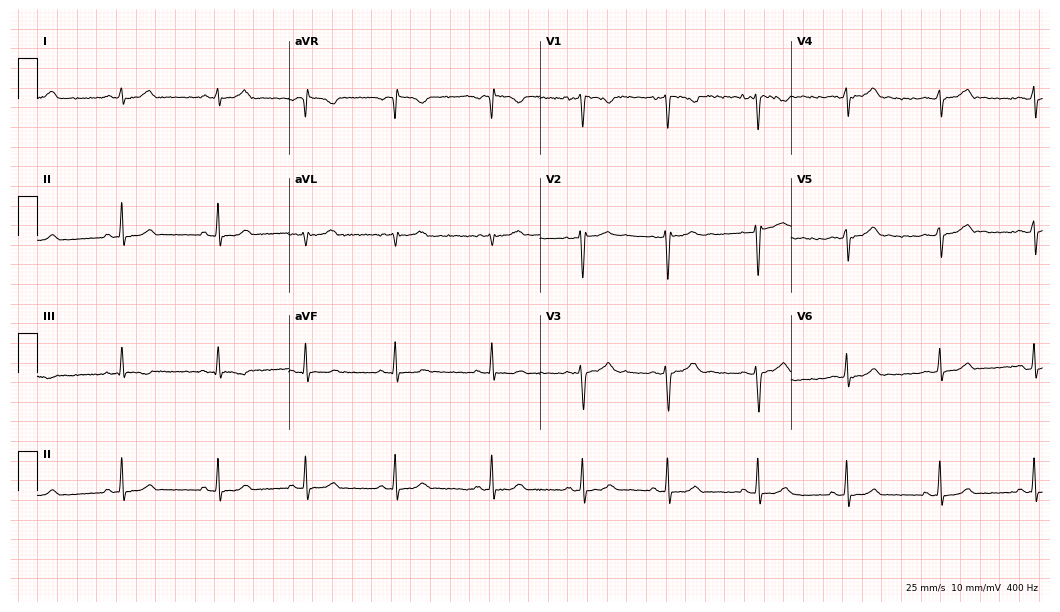
12-lead ECG from a female patient, 21 years old. Recorded interpretation: within normal limits.